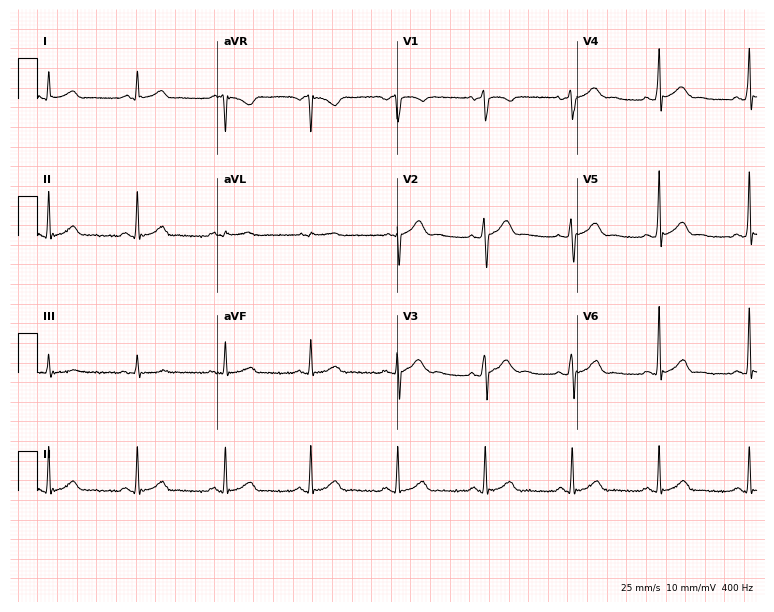
Standard 12-lead ECG recorded from a male, 39 years old. Read as a normal ECG.